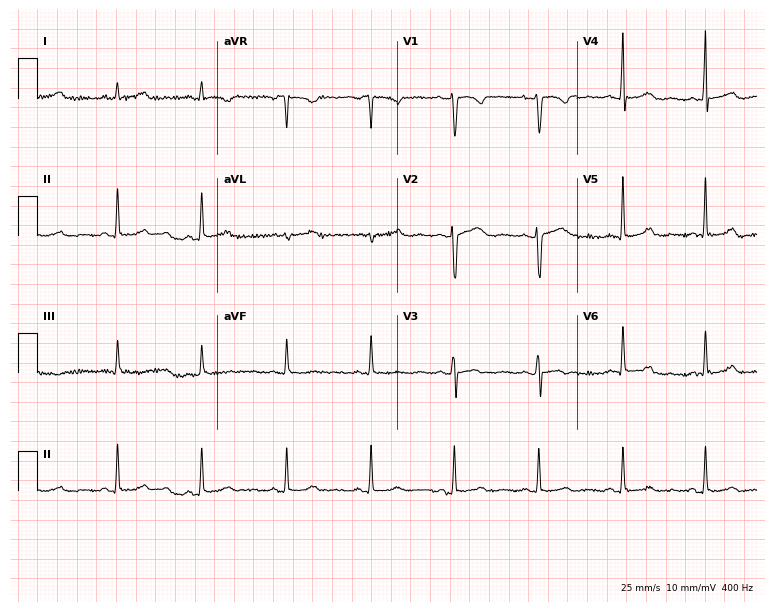
12-lead ECG from a 44-year-old female patient. No first-degree AV block, right bundle branch block, left bundle branch block, sinus bradycardia, atrial fibrillation or sinus tachycardia recorded for this tracing. Findings outside these six are not listed.